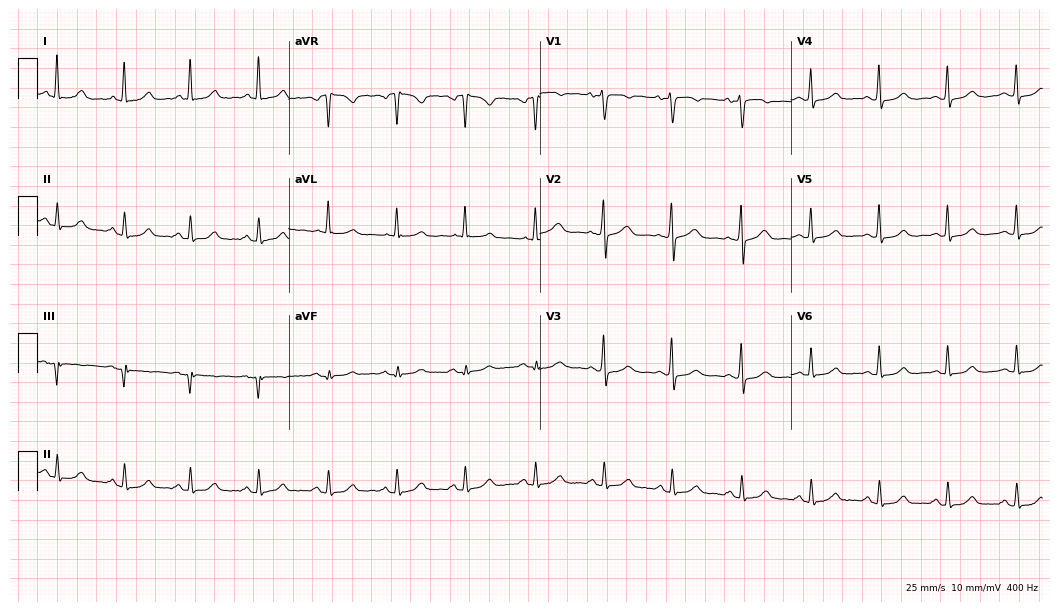
12-lead ECG from a woman, 56 years old. Recorded interpretation: within normal limits.